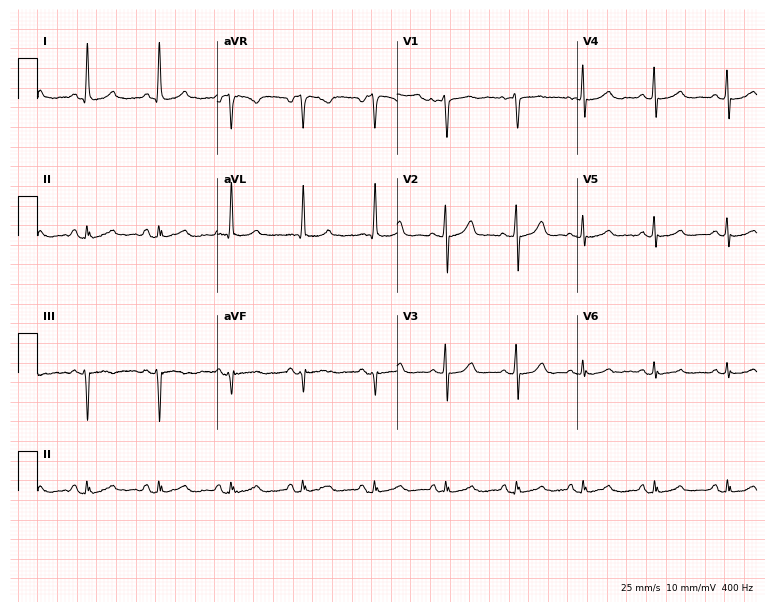
12-lead ECG from a 71-year-old woman (7.3-second recording at 400 Hz). Recorded interpretation: within normal limits.